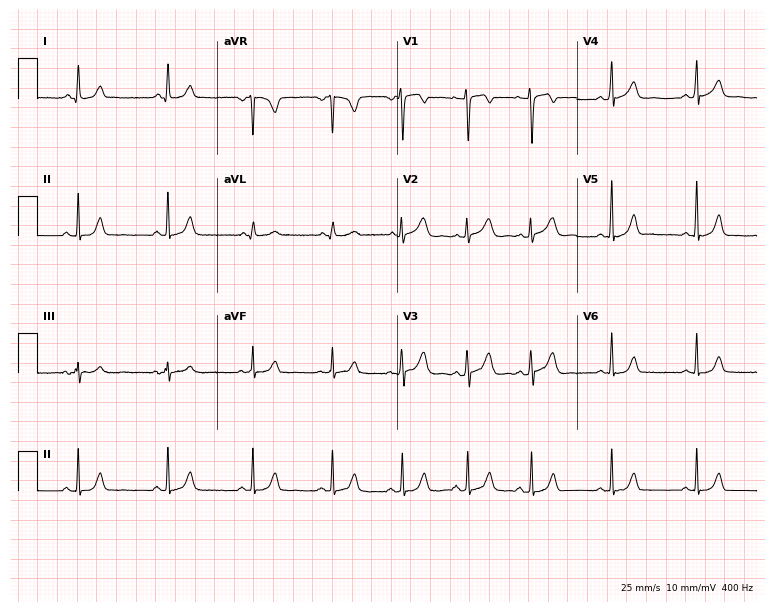
12-lead ECG (7.3-second recording at 400 Hz) from a female patient, 27 years old. Screened for six findings — first-degree AV block, right bundle branch block, left bundle branch block, sinus bradycardia, atrial fibrillation, sinus tachycardia — none is recorded. Findings outside these six are not listed.